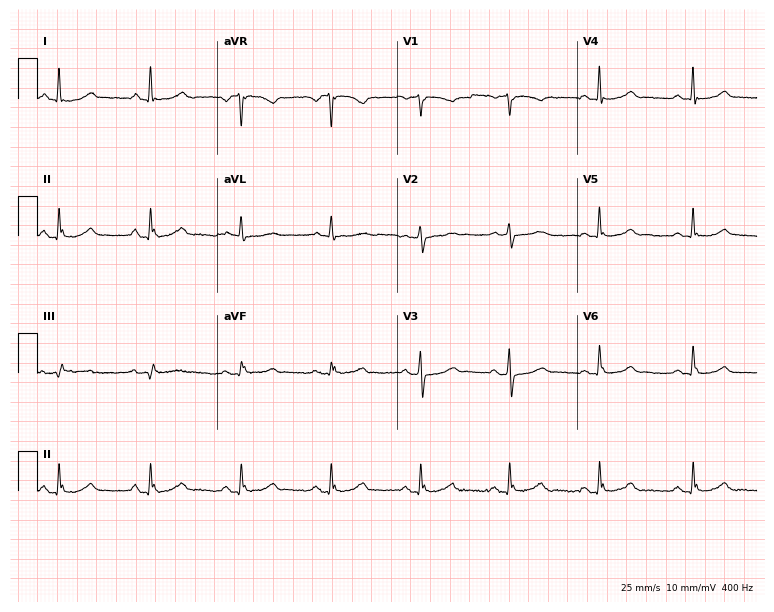
12-lead ECG from a female, 71 years old. Recorded interpretation: within normal limits.